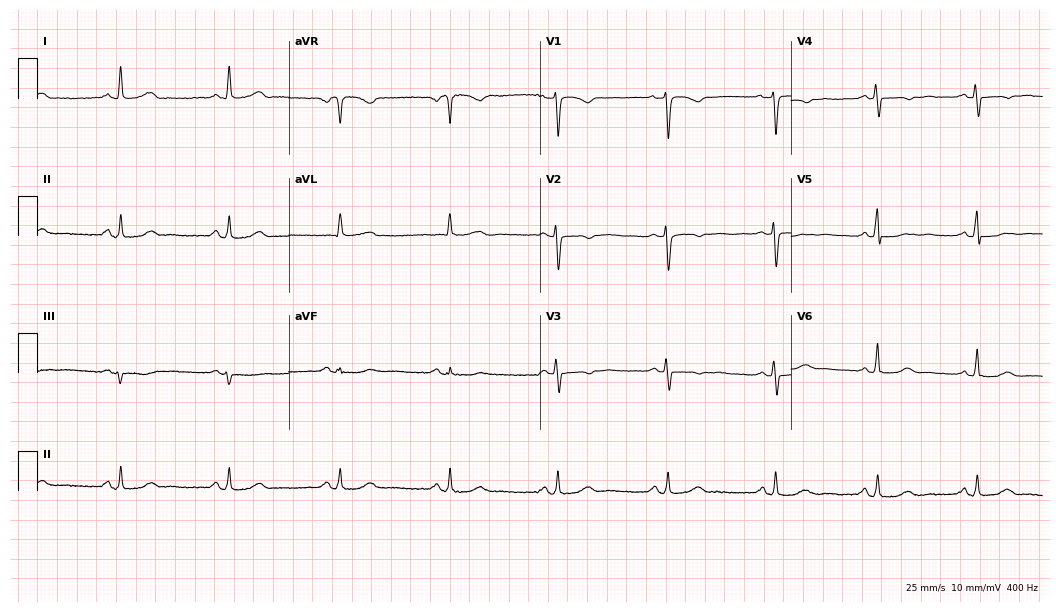
12-lead ECG from a 73-year-old female (10.2-second recording at 400 Hz). Recorded interpretation: within normal limits.